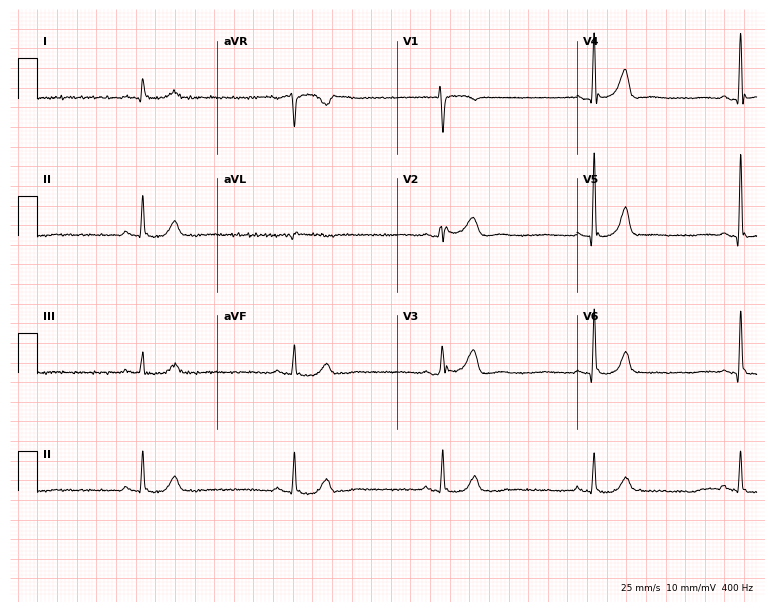
ECG — a 70-year-old male patient. Findings include sinus bradycardia (a sinus rate of 50 beats per minute or less).